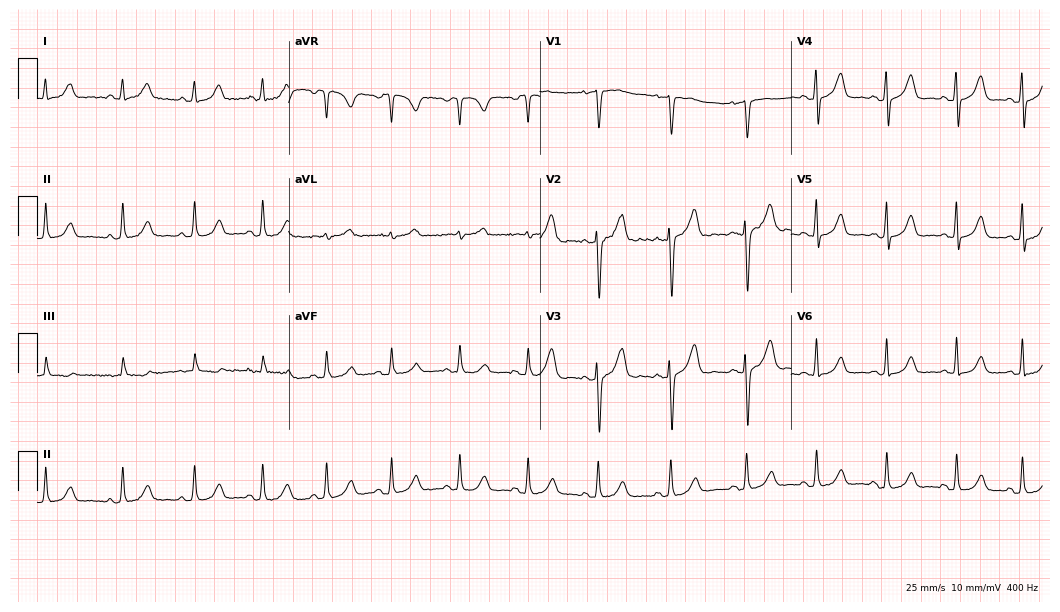
Standard 12-lead ECG recorded from a female patient, 19 years old (10.2-second recording at 400 Hz). Read as a normal ECG.